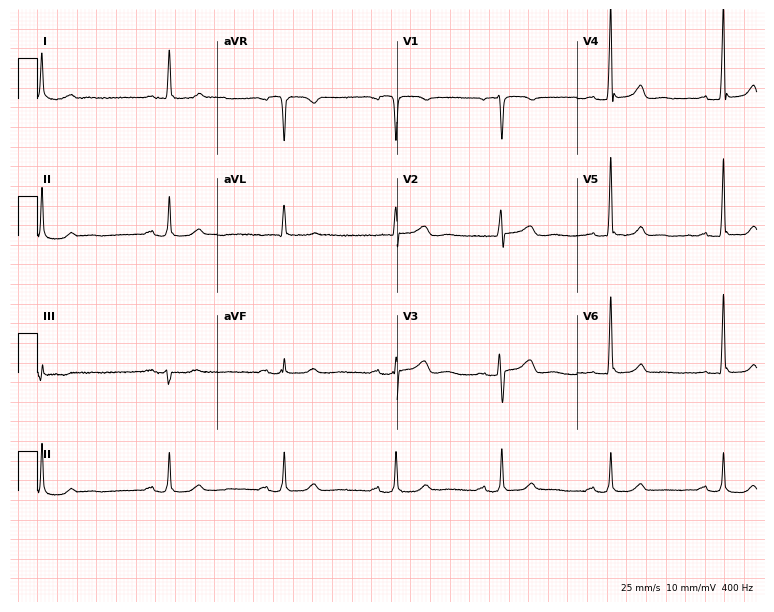
Resting 12-lead electrocardiogram (7.3-second recording at 400 Hz). Patient: a 67-year-old female. None of these six findings is recorded: first-degree AV block, right bundle branch block (RBBB), left bundle branch block (LBBB), sinus bradycardia, atrial fibrillation (AF), sinus tachycardia. Findings outside these six are not listed.